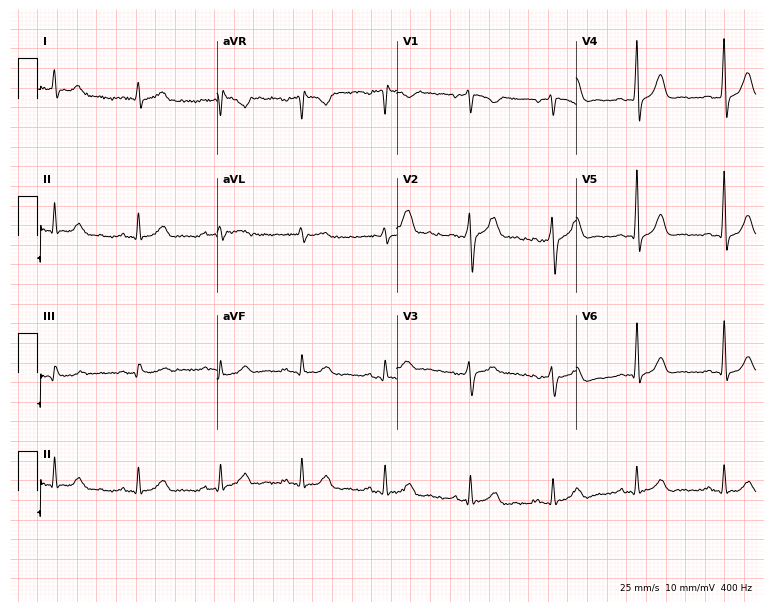
ECG (7.3-second recording at 400 Hz) — a male, 37 years old. Labelled as a normal ECG.